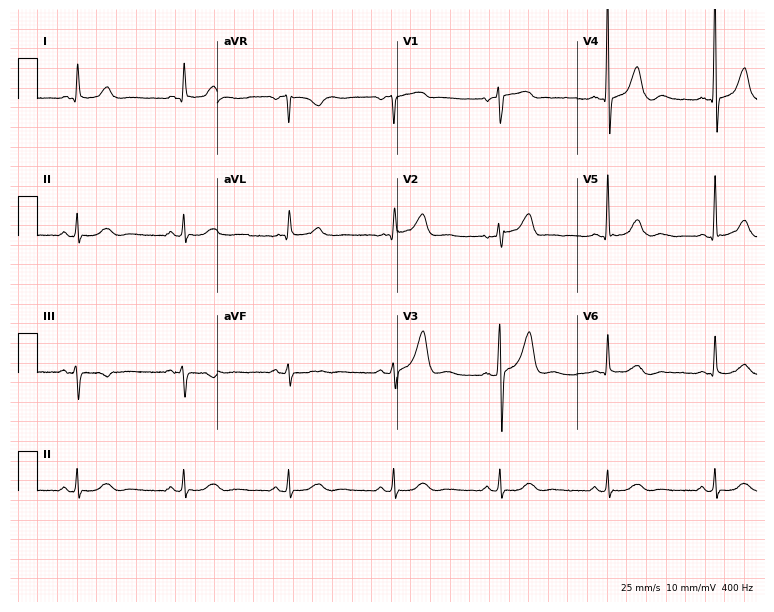
Resting 12-lead electrocardiogram (7.3-second recording at 400 Hz). Patient: a male, 76 years old. Read as a normal ECG.